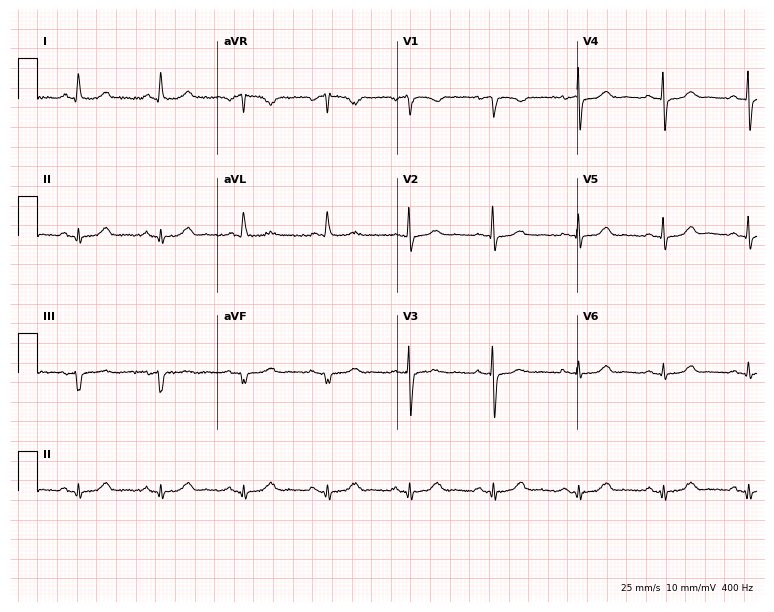
12-lead ECG from a female patient, 65 years old (7.3-second recording at 400 Hz). No first-degree AV block, right bundle branch block (RBBB), left bundle branch block (LBBB), sinus bradycardia, atrial fibrillation (AF) or sinus tachycardia recorded for this tracing.